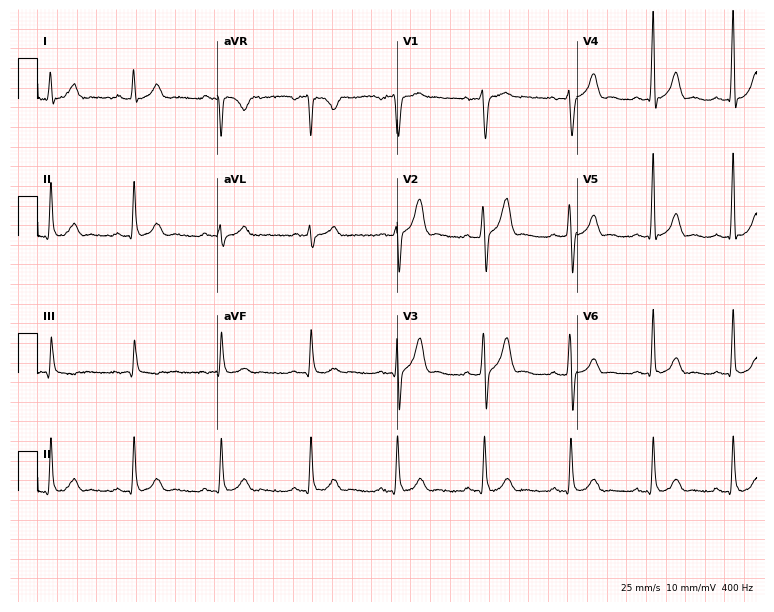
Electrocardiogram (7.3-second recording at 400 Hz), a 42-year-old male. Overall reading on record: normal ECG.